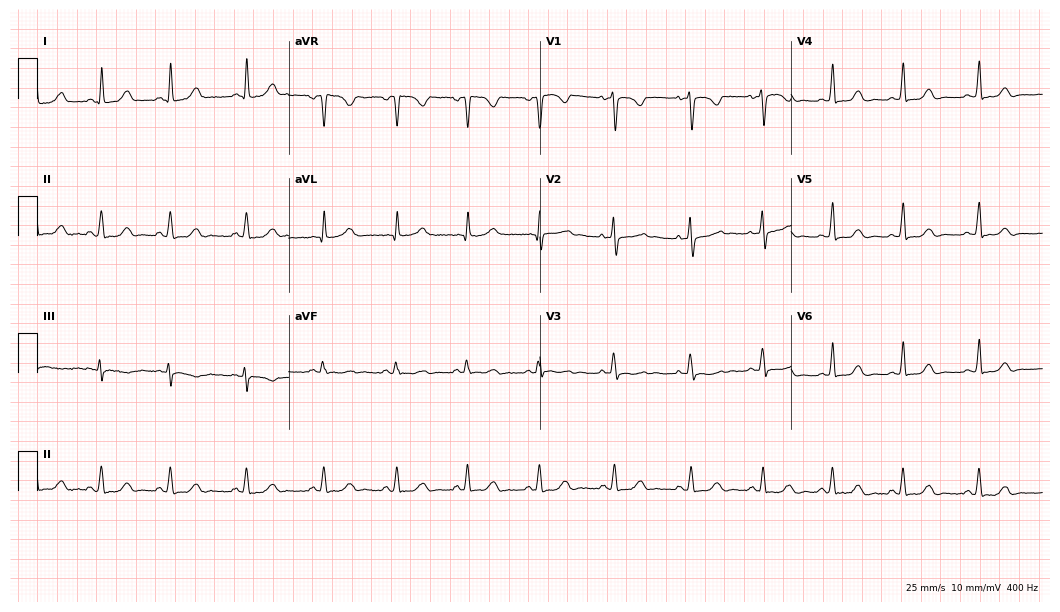
12-lead ECG from a 33-year-old woman. Screened for six findings — first-degree AV block, right bundle branch block, left bundle branch block, sinus bradycardia, atrial fibrillation, sinus tachycardia — none is recorded.